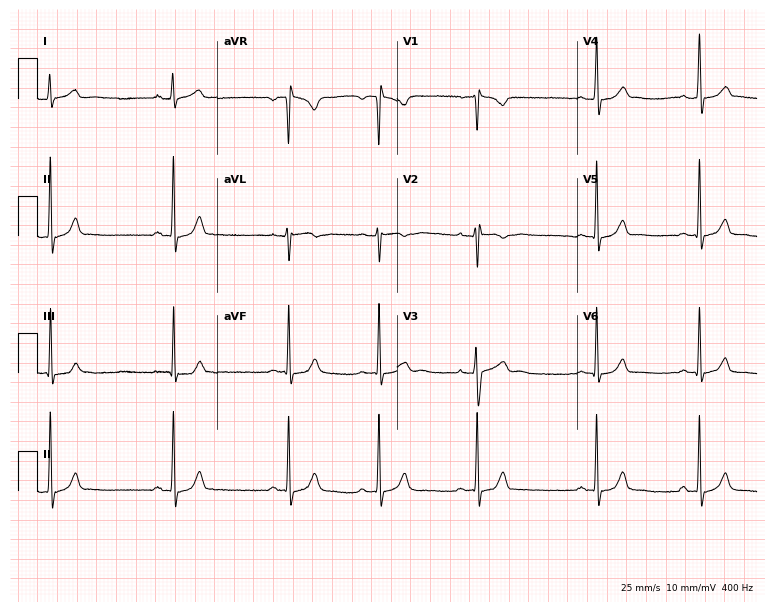
Resting 12-lead electrocardiogram. Patient: a female, 20 years old. None of these six findings is recorded: first-degree AV block, right bundle branch block (RBBB), left bundle branch block (LBBB), sinus bradycardia, atrial fibrillation (AF), sinus tachycardia.